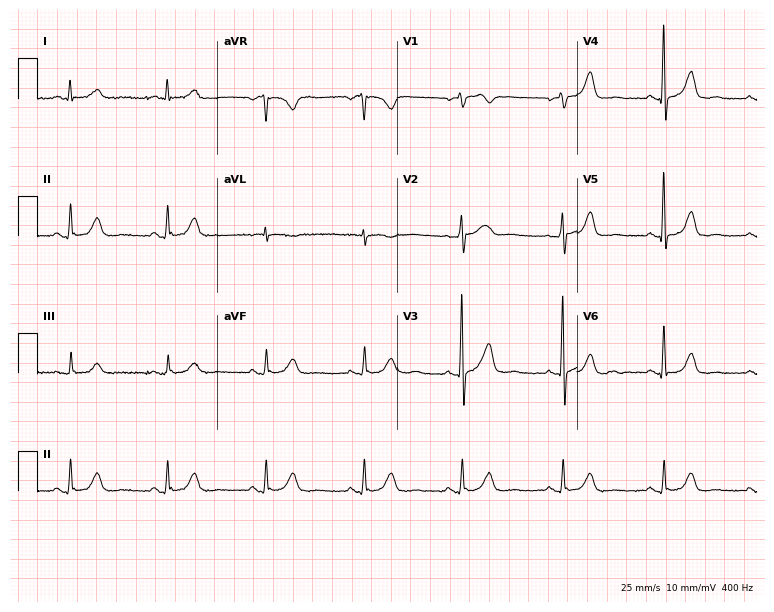
12-lead ECG (7.3-second recording at 400 Hz) from a female, 73 years old. Screened for six findings — first-degree AV block, right bundle branch block, left bundle branch block, sinus bradycardia, atrial fibrillation, sinus tachycardia — none is recorded. Findings outside these six are not listed.